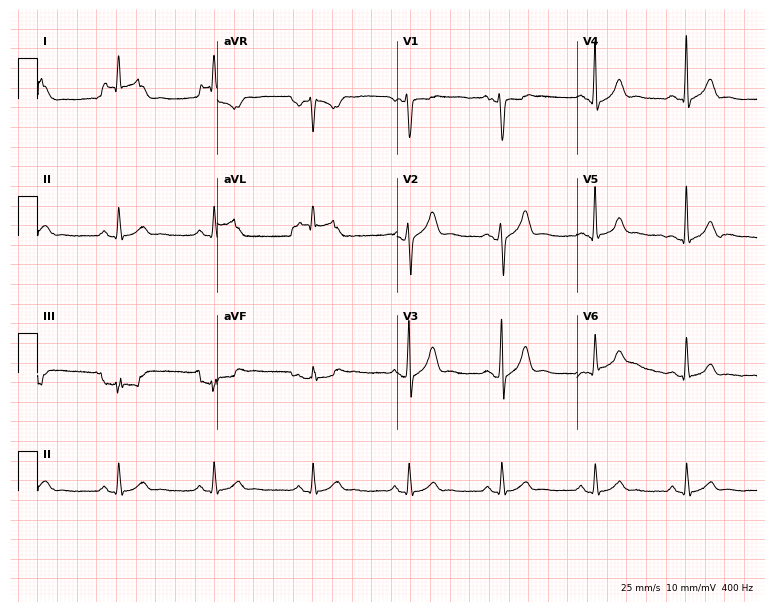
12-lead ECG from a 43-year-old male patient (7.3-second recording at 400 Hz). Recorded interpretation: within normal limits.